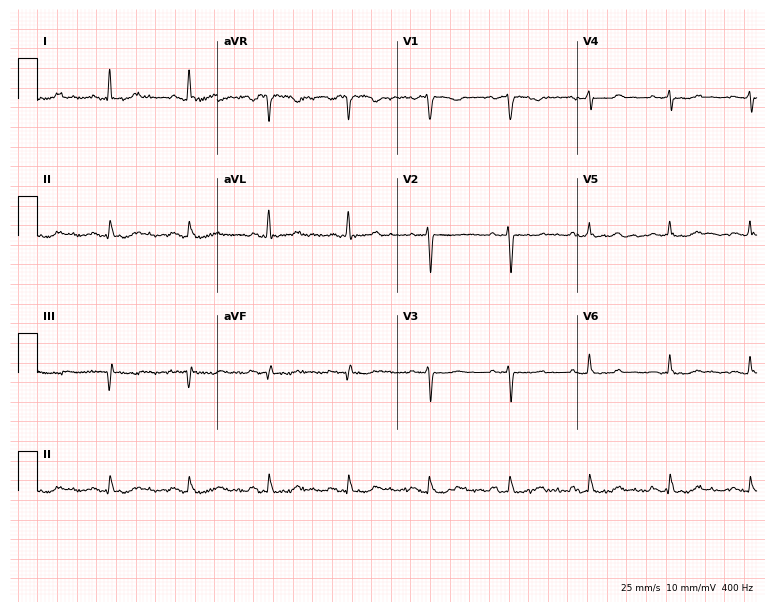
Standard 12-lead ECG recorded from a 50-year-old female (7.3-second recording at 400 Hz). None of these six findings is recorded: first-degree AV block, right bundle branch block, left bundle branch block, sinus bradycardia, atrial fibrillation, sinus tachycardia. Only these six findings were labelled.